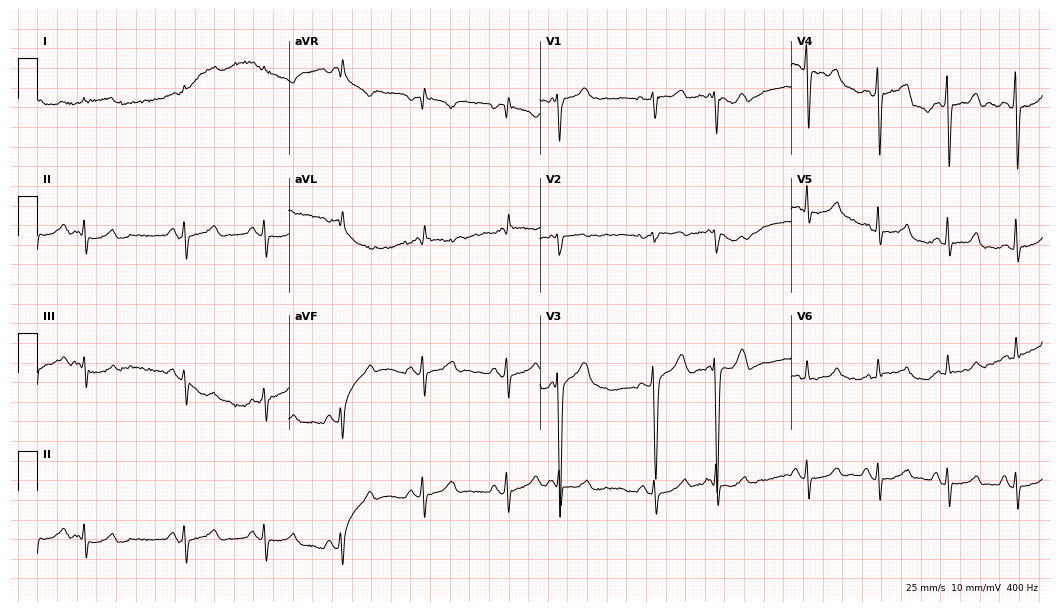
Standard 12-lead ECG recorded from a 49-year-old female (10.2-second recording at 400 Hz). None of these six findings is recorded: first-degree AV block, right bundle branch block, left bundle branch block, sinus bradycardia, atrial fibrillation, sinus tachycardia. Only these six findings were labelled.